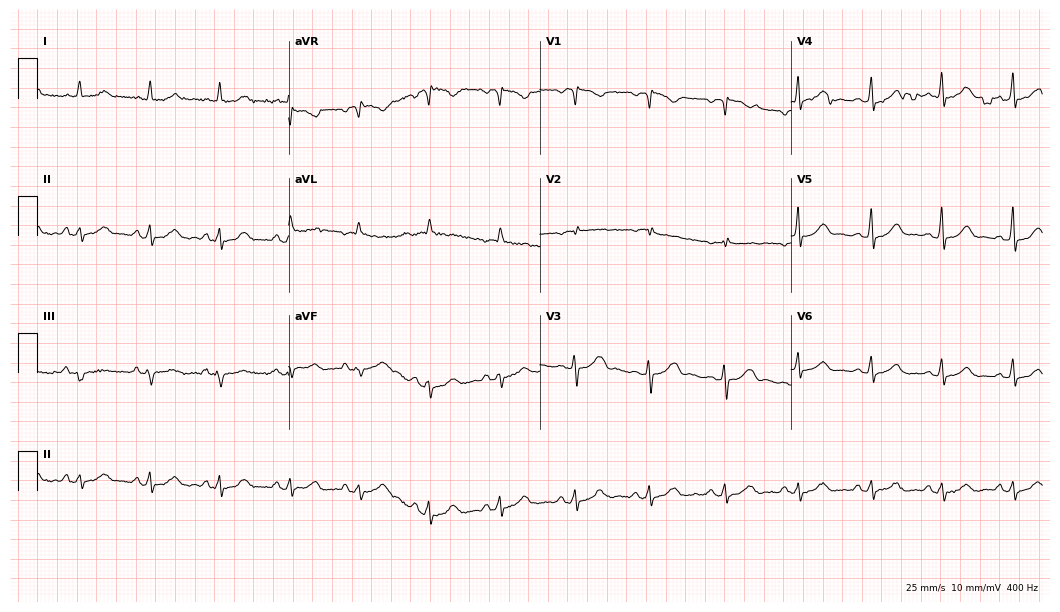
12-lead ECG from a woman, 50 years old. No first-degree AV block, right bundle branch block (RBBB), left bundle branch block (LBBB), sinus bradycardia, atrial fibrillation (AF) or sinus tachycardia recorded for this tracing. Other findings, if any, are not listed.